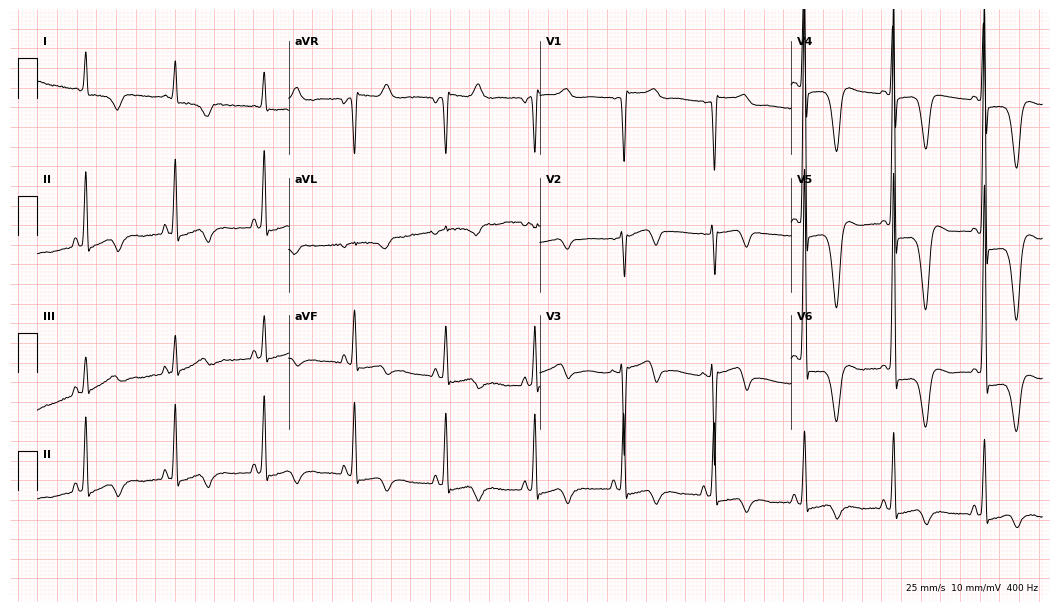
Standard 12-lead ECG recorded from a woman, 80 years old (10.2-second recording at 400 Hz). None of these six findings is recorded: first-degree AV block, right bundle branch block, left bundle branch block, sinus bradycardia, atrial fibrillation, sinus tachycardia.